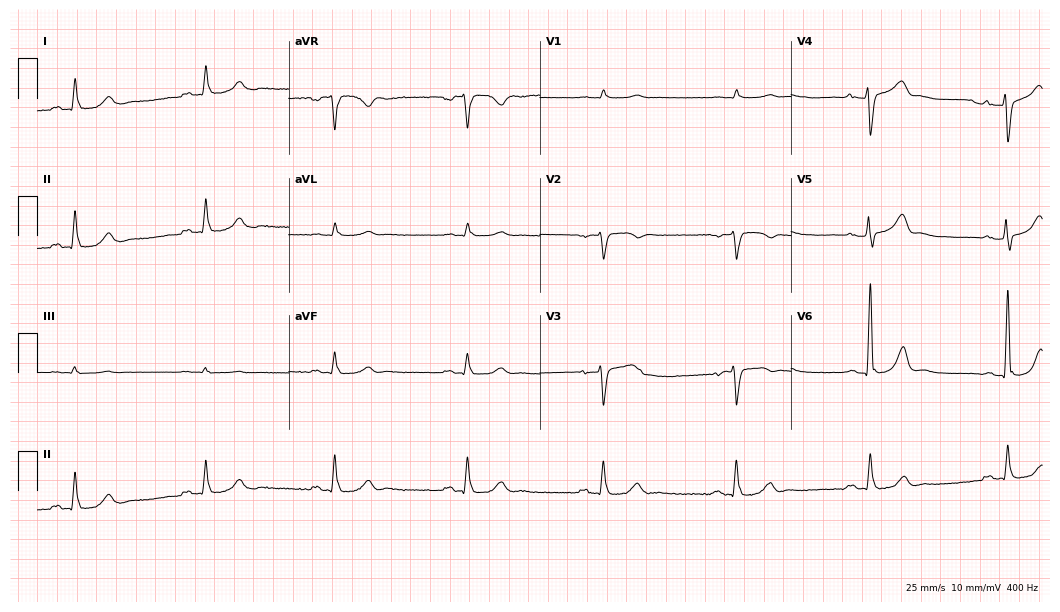
Standard 12-lead ECG recorded from a 73-year-old male (10.2-second recording at 400 Hz). The tracing shows sinus bradycardia (a sinus rate of 50 beats per minute or less).